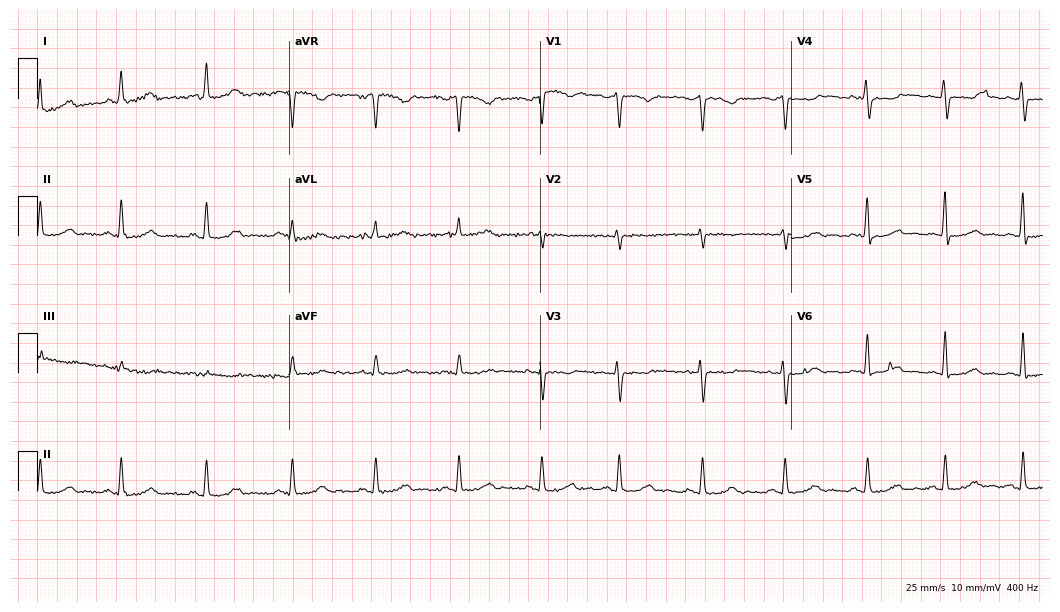
Standard 12-lead ECG recorded from a 33-year-old female patient. None of these six findings is recorded: first-degree AV block, right bundle branch block (RBBB), left bundle branch block (LBBB), sinus bradycardia, atrial fibrillation (AF), sinus tachycardia.